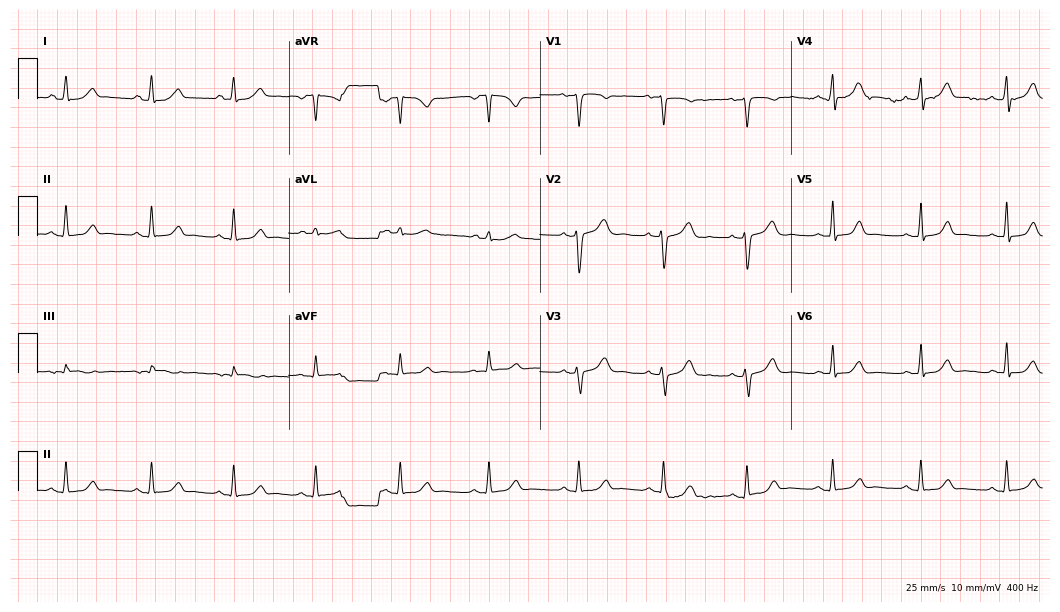
12-lead ECG (10.2-second recording at 400 Hz) from a female patient, 34 years old. Labelled as a normal ECG.